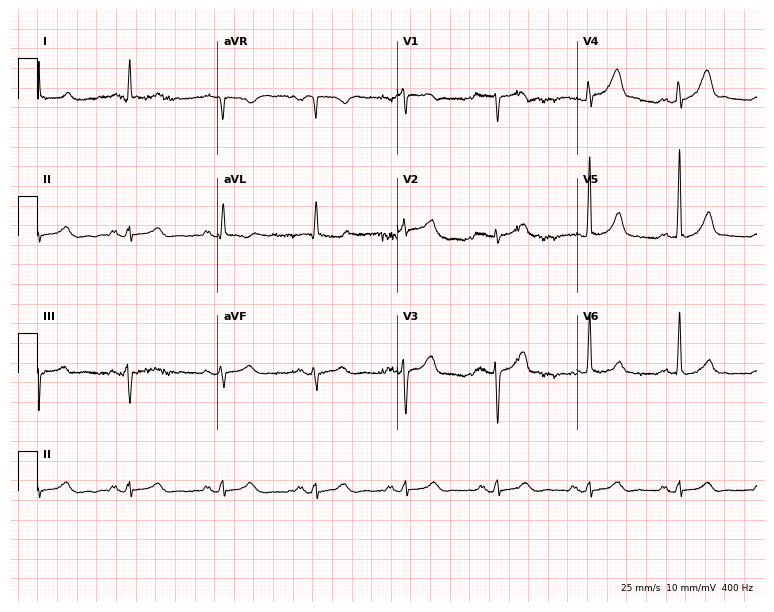
ECG — a female, 81 years old. Labelled as a normal ECG.